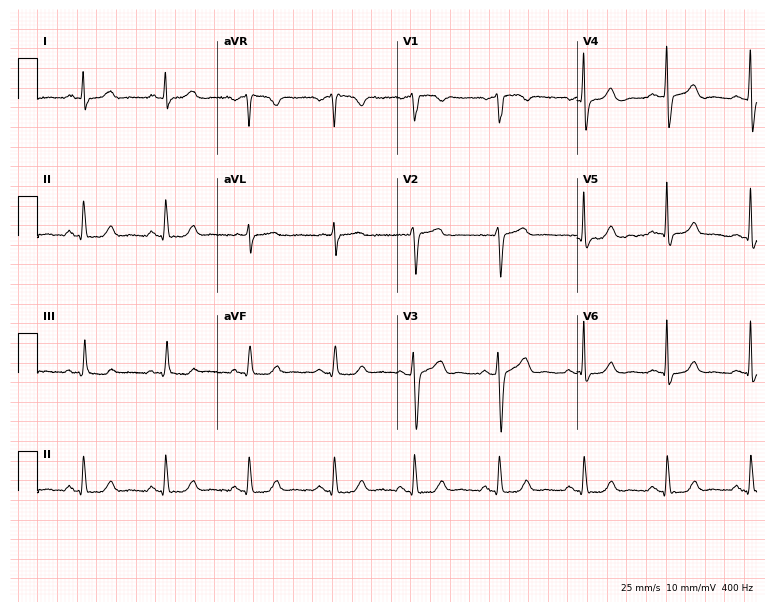
12-lead ECG from a male patient, 47 years old (7.3-second recording at 400 Hz). Recorded interpretation: within normal limits.